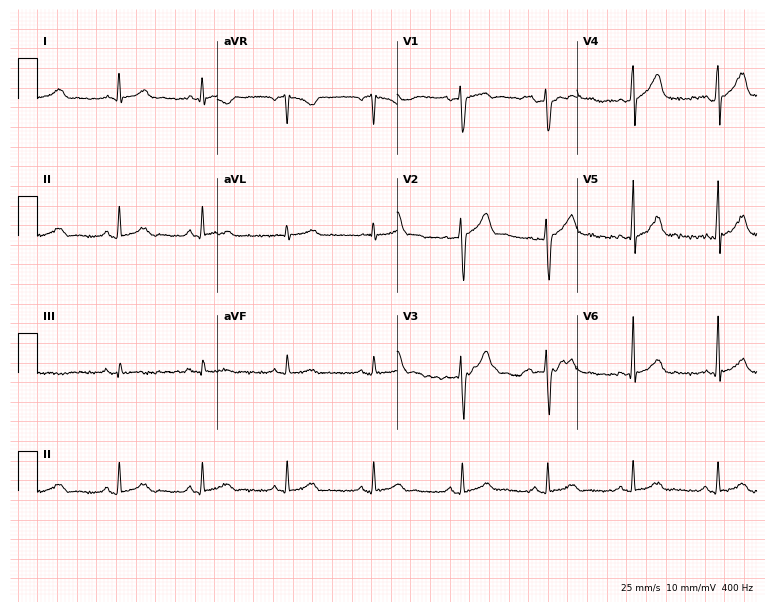
12-lead ECG from a male, 31 years old (7.3-second recording at 400 Hz). Recorded interpretation: within normal limits.